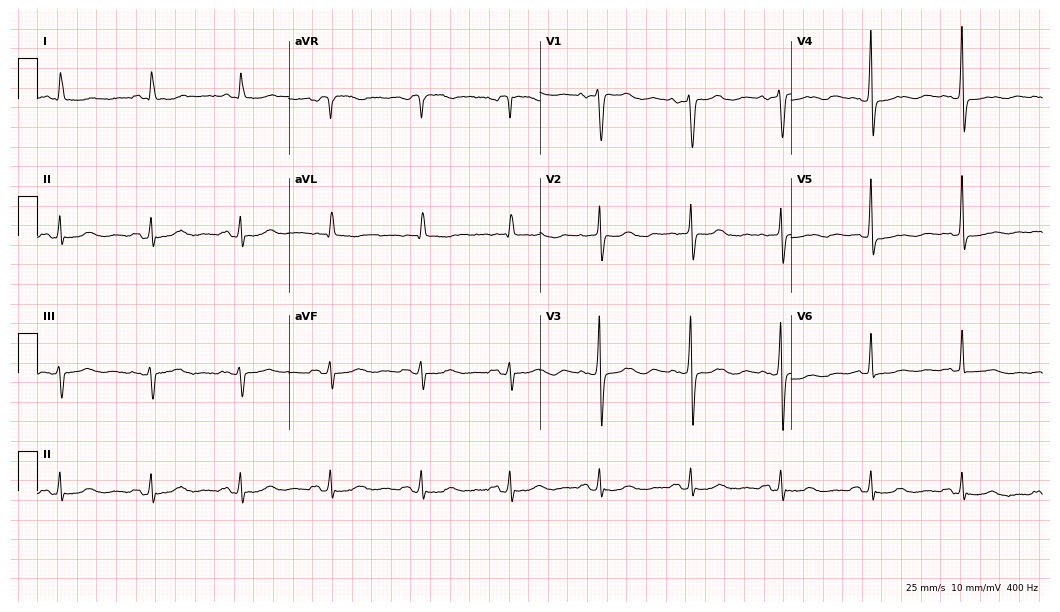
Resting 12-lead electrocardiogram. Patient: an 83-year-old female. None of these six findings is recorded: first-degree AV block, right bundle branch block (RBBB), left bundle branch block (LBBB), sinus bradycardia, atrial fibrillation (AF), sinus tachycardia.